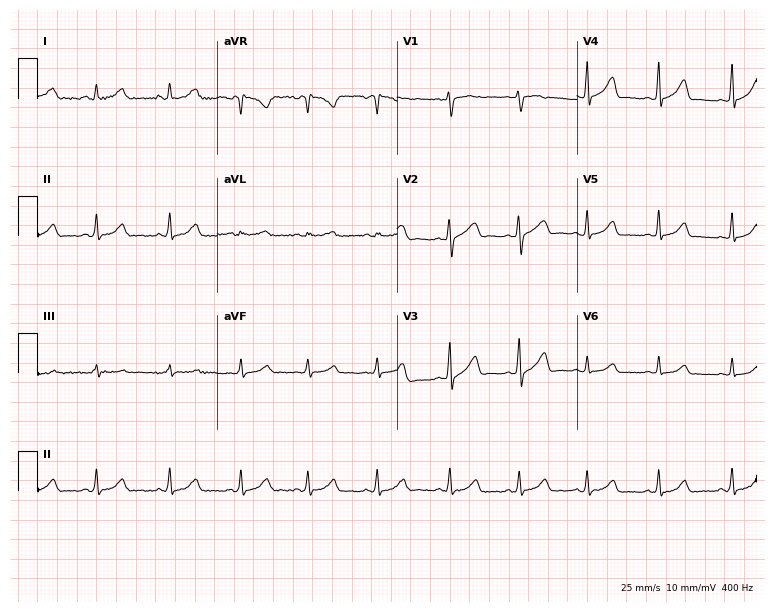
12-lead ECG from a female patient, 25 years old. No first-degree AV block, right bundle branch block, left bundle branch block, sinus bradycardia, atrial fibrillation or sinus tachycardia recorded for this tracing.